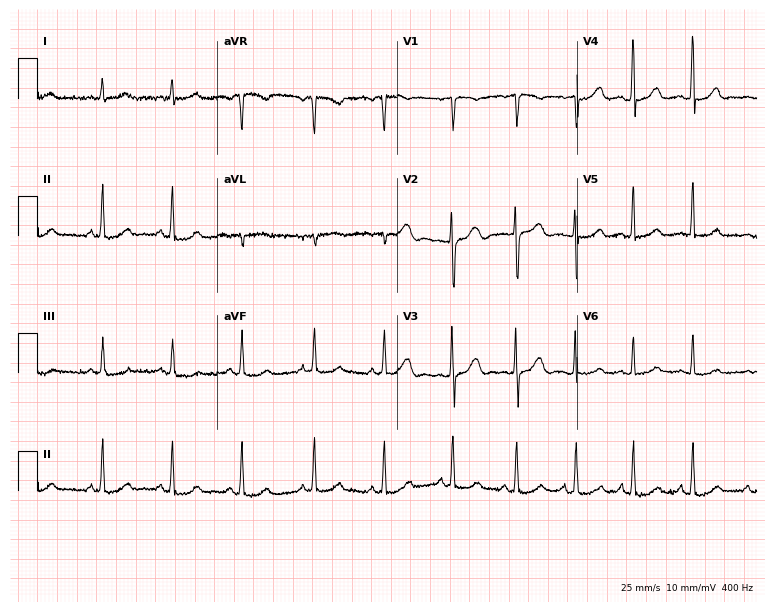
Resting 12-lead electrocardiogram. Patient: a 23-year-old female. None of these six findings is recorded: first-degree AV block, right bundle branch block, left bundle branch block, sinus bradycardia, atrial fibrillation, sinus tachycardia. Findings outside these six are not listed.